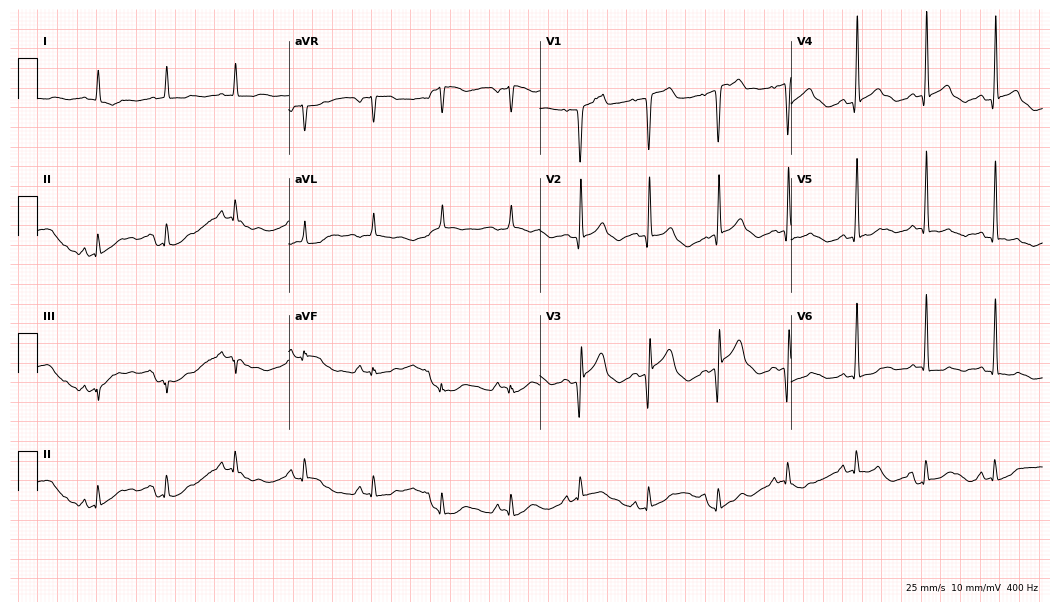
ECG (10.2-second recording at 400 Hz) — a female patient, 83 years old. Screened for six findings — first-degree AV block, right bundle branch block (RBBB), left bundle branch block (LBBB), sinus bradycardia, atrial fibrillation (AF), sinus tachycardia — none is recorded.